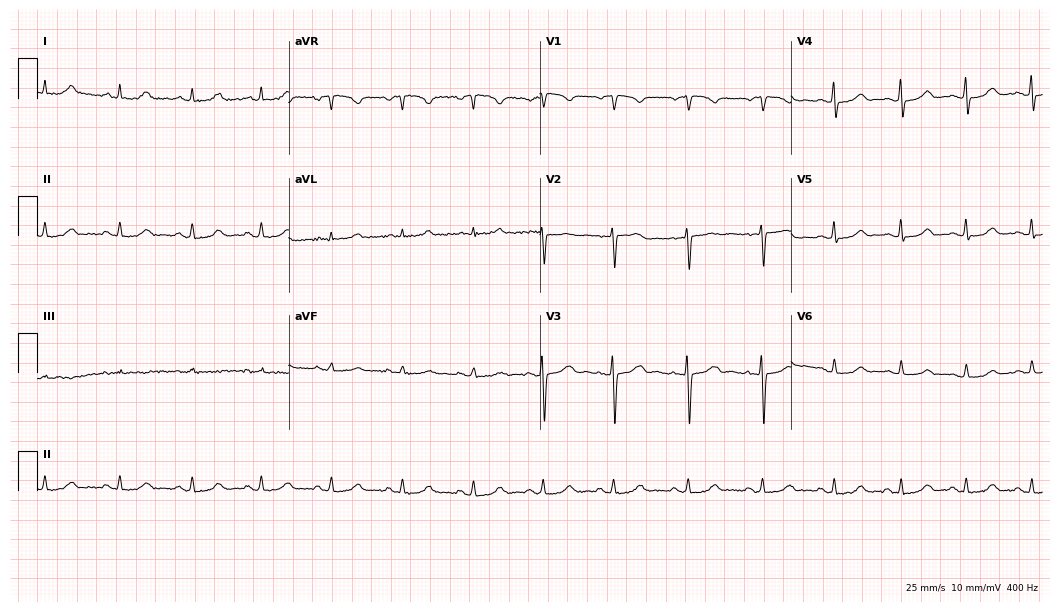
Electrocardiogram, a female patient, 46 years old. Overall reading on record: normal ECG.